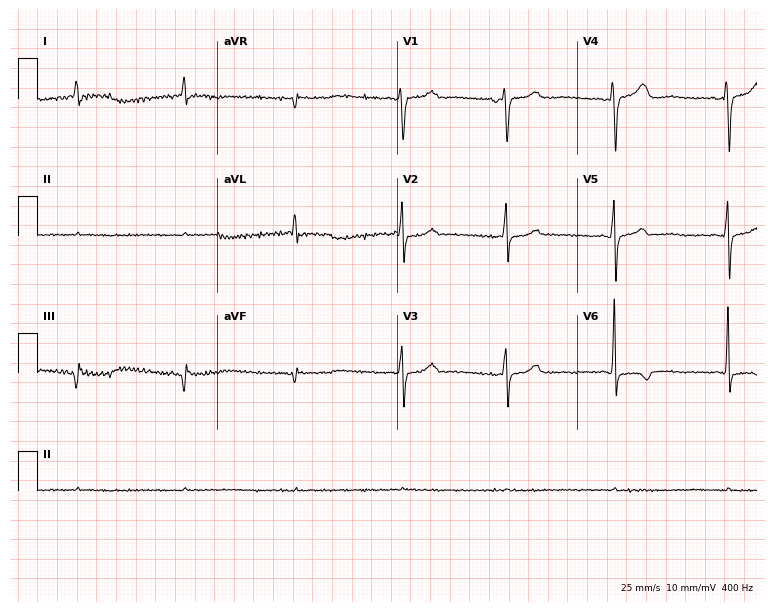
ECG (7.3-second recording at 400 Hz) — a 60-year-old female patient. Screened for six findings — first-degree AV block, right bundle branch block, left bundle branch block, sinus bradycardia, atrial fibrillation, sinus tachycardia — none is recorded. Other findings, if any, are not listed.